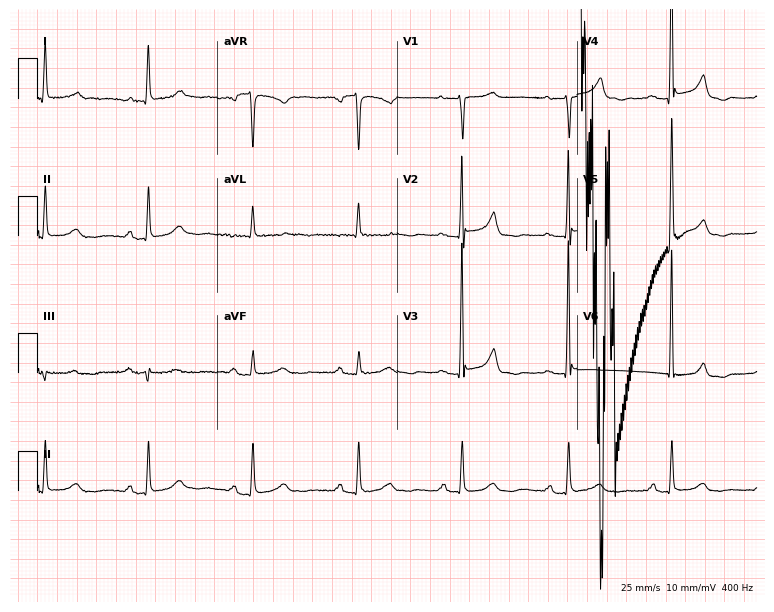
Standard 12-lead ECG recorded from a female, 80 years old. None of these six findings is recorded: first-degree AV block, right bundle branch block (RBBB), left bundle branch block (LBBB), sinus bradycardia, atrial fibrillation (AF), sinus tachycardia. Other findings, if any, are not listed.